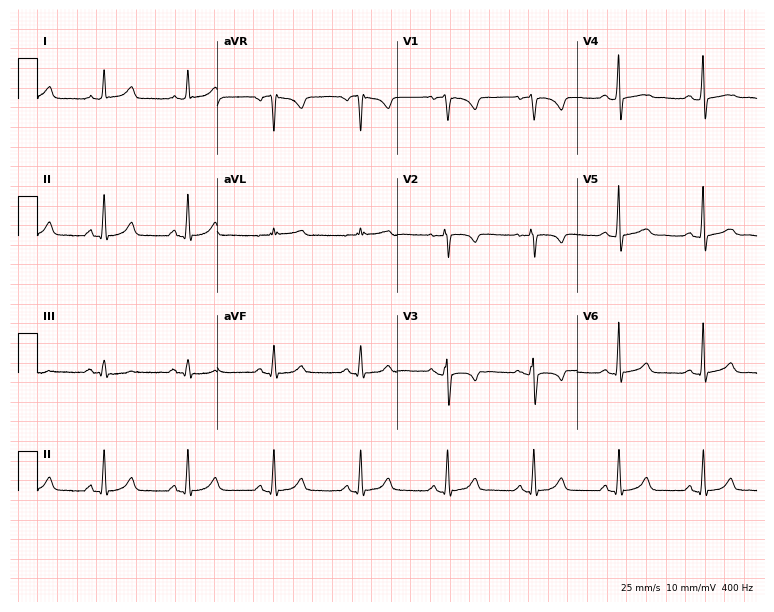
Electrocardiogram (7.3-second recording at 400 Hz), a 43-year-old woman. Of the six screened findings (first-degree AV block, right bundle branch block (RBBB), left bundle branch block (LBBB), sinus bradycardia, atrial fibrillation (AF), sinus tachycardia), none is recorded.